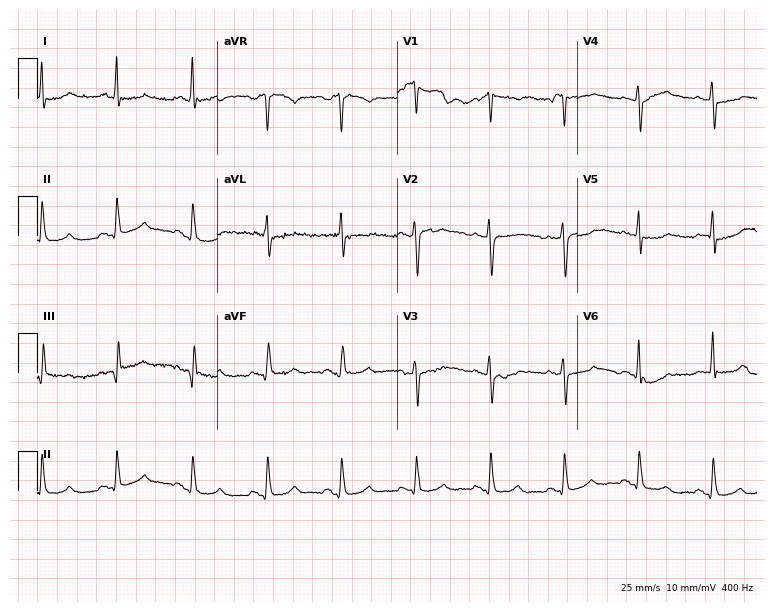
Electrocardiogram (7.3-second recording at 400 Hz), a man, 54 years old. Of the six screened findings (first-degree AV block, right bundle branch block, left bundle branch block, sinus bradycardia, atrial fibrillation, sinus tachycardia), none is recorded. Other findings, if any, are not listed.